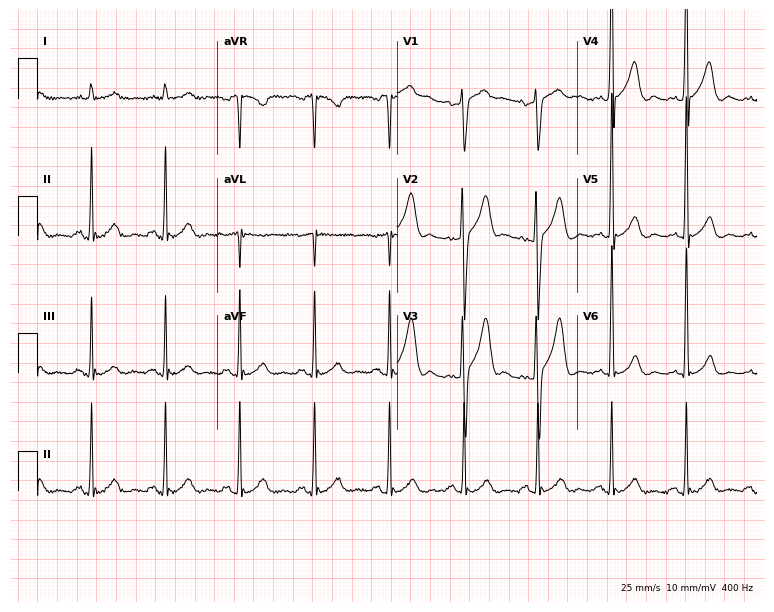
ECG — a man, 61 years old. Screened for six findings — first-degree AV block, right bundle branch block, left bundle branch block, sinus bradycardia, atrial fibrillation, sinus tachycardia — none is recorded. Other findings, if any, are not listed.